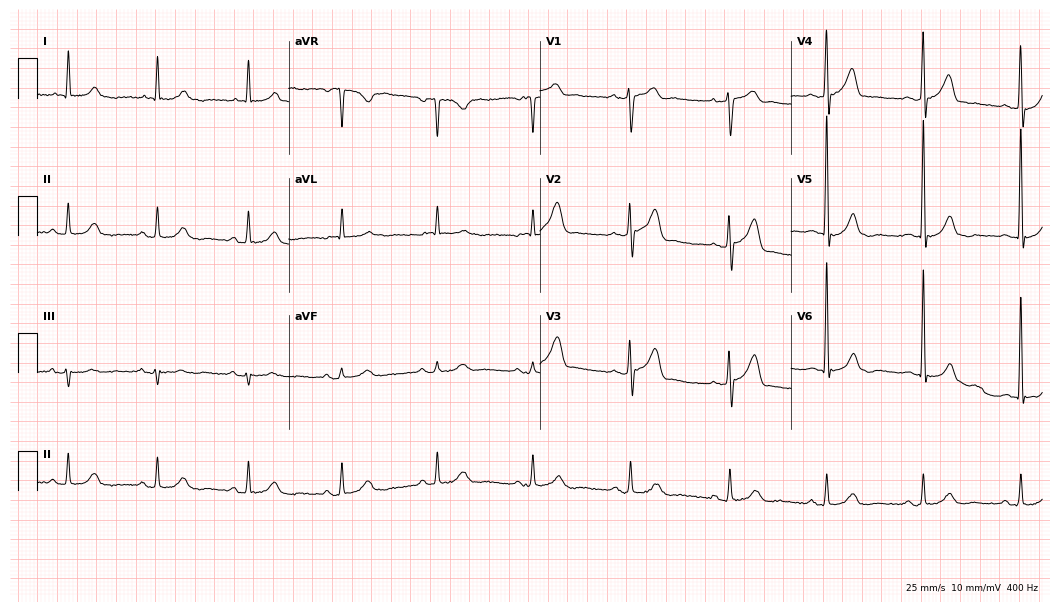
Electrocardiogram, a 63-year-old male patient. Overall reading on record: normal ECG.